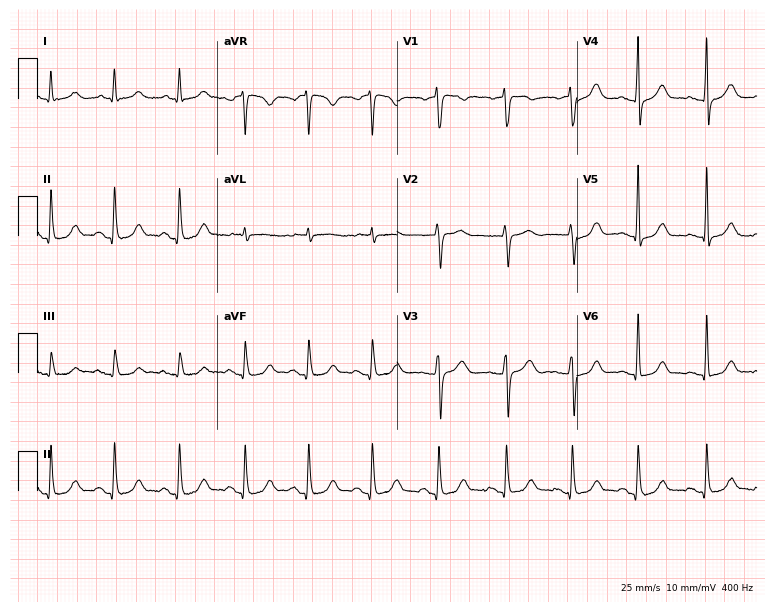
12-lead ECG from a 69-year-old woman. Labelled as a normal ECG.